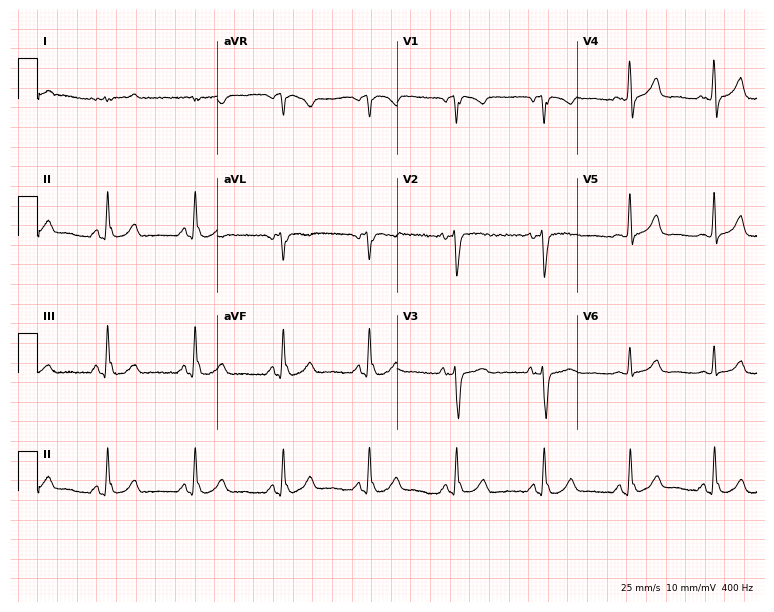
ECG — a man, 35 years old. Labelled as a normal ECG.